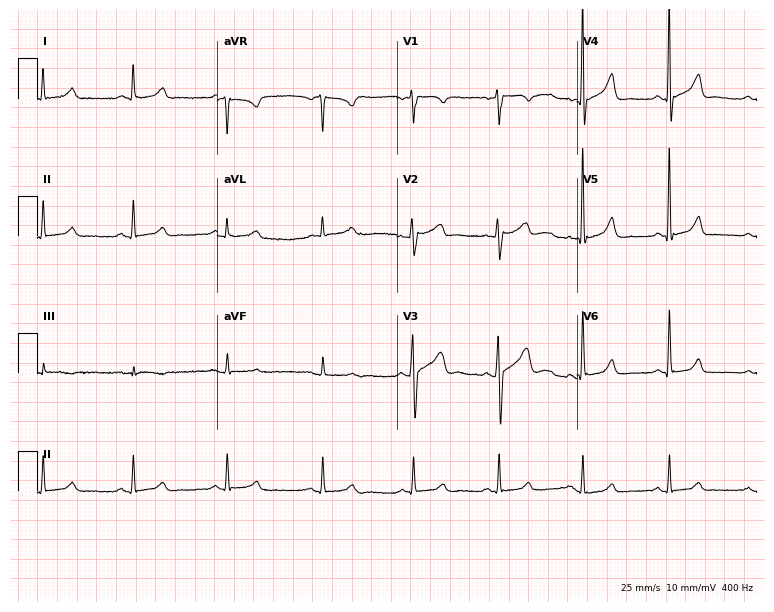
12-lead ECG from a 57-year-old male (7.3-second recording at 400 Hz). Recorded interpretation: within normal limits.